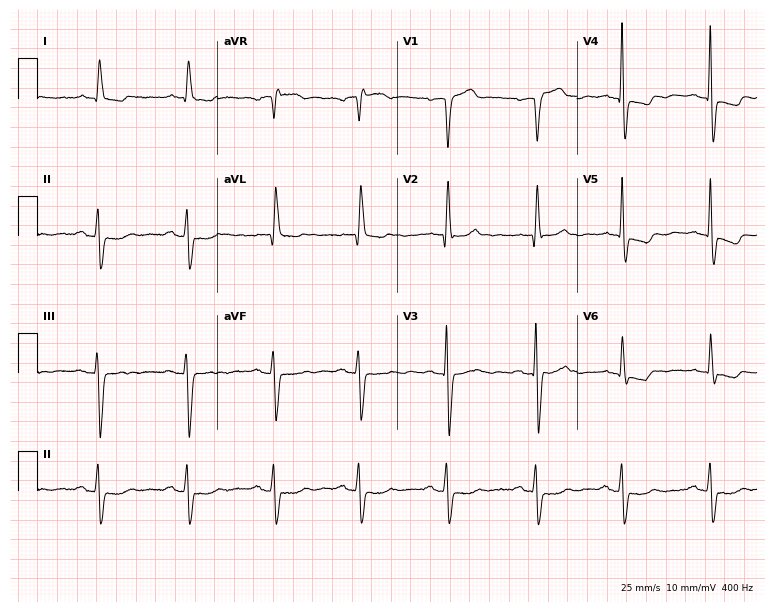
Electrocardiogram (7.3-second recording at 400 Hz), a male, 78 years old. Interpretation includes right bundle branch block.